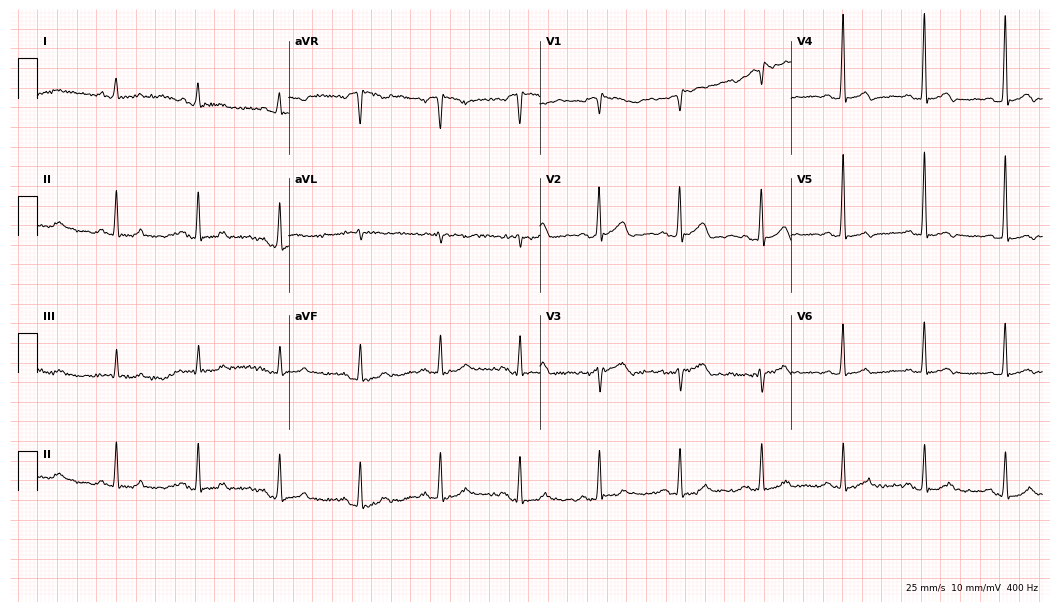
Resting 12-lead electrocardiogram (10.2-second recording at 400 Hz). Patient: a male, 85 years old. None of these six findings is recorded: first-degree AV block, right bundle branch block, left bundle branch block, sinus bradycardia, atrial fibrillation, sinus tachycardia. Other findings, if any, are not listed.